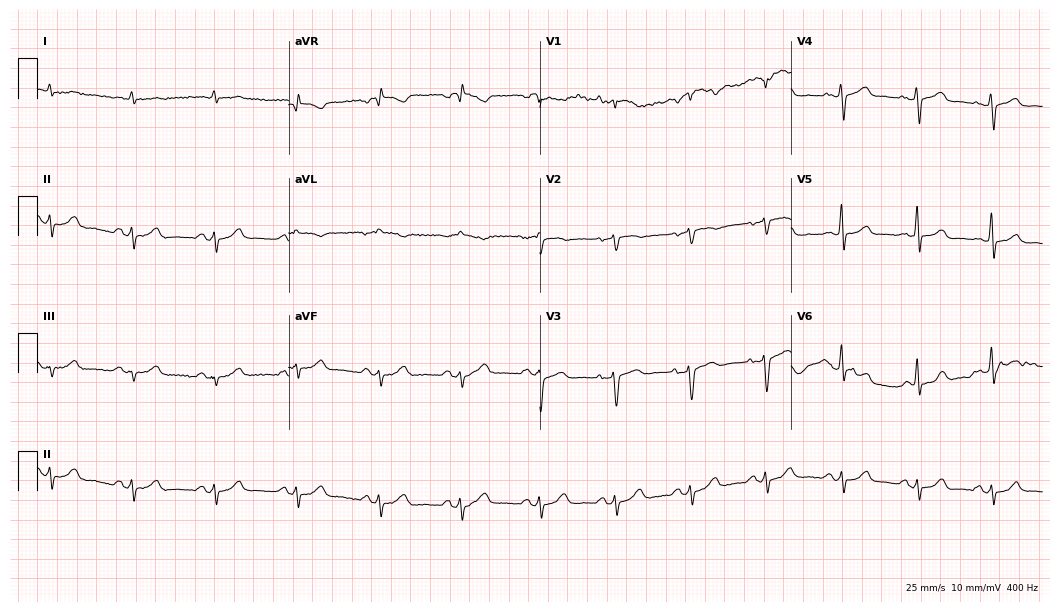
12-lead ECG from a 75-year-old male patient. No first-degree AV block, right bundle branch block, left bundle branch block, sinus bradycardia, atrial fibrillation or sinus tachycardia recorded for this tracing.